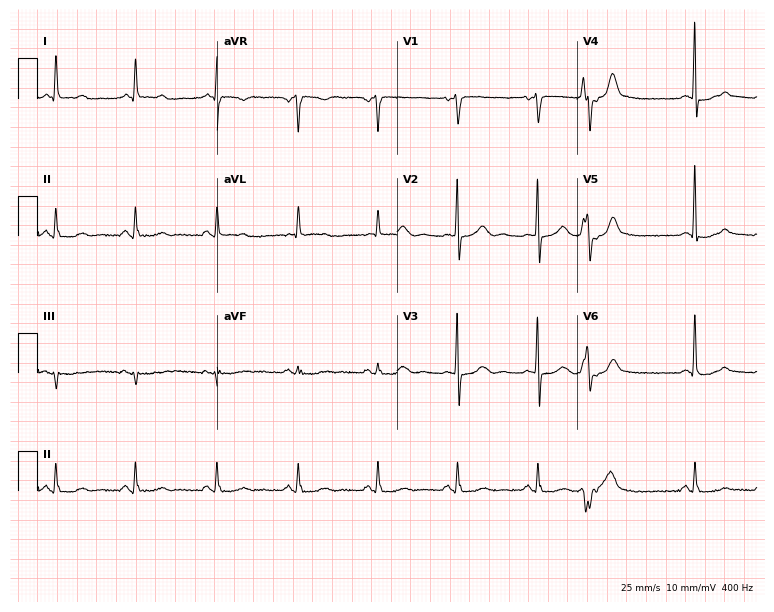
12-lead ECG from a 75-year-old female patient. Recorded interpretation: within normal limits.